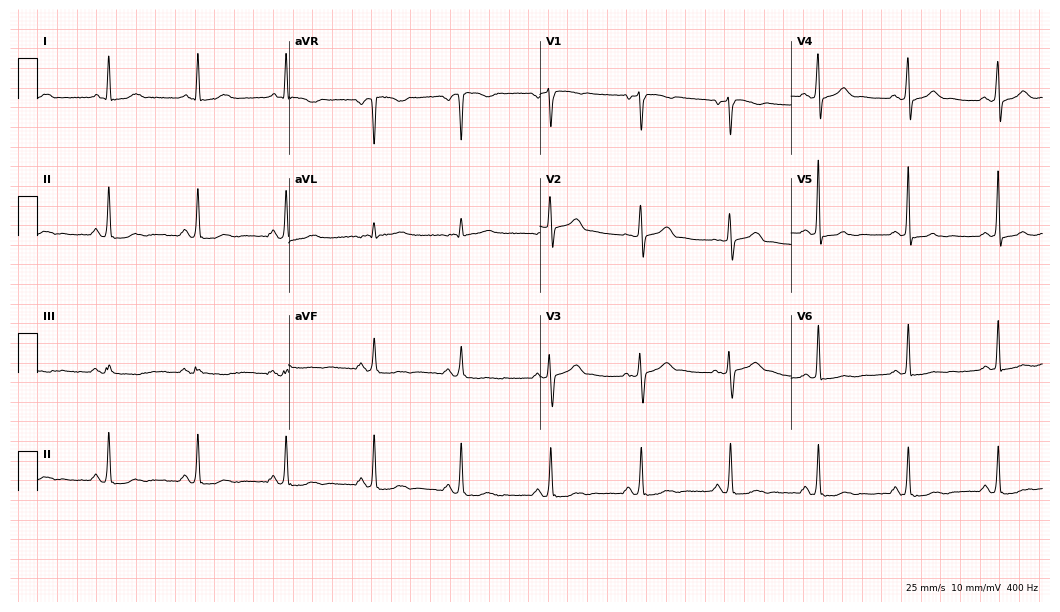
Standard 12-lead ECG recorded from a female patient, 65 years old. Read as a normal ECG.